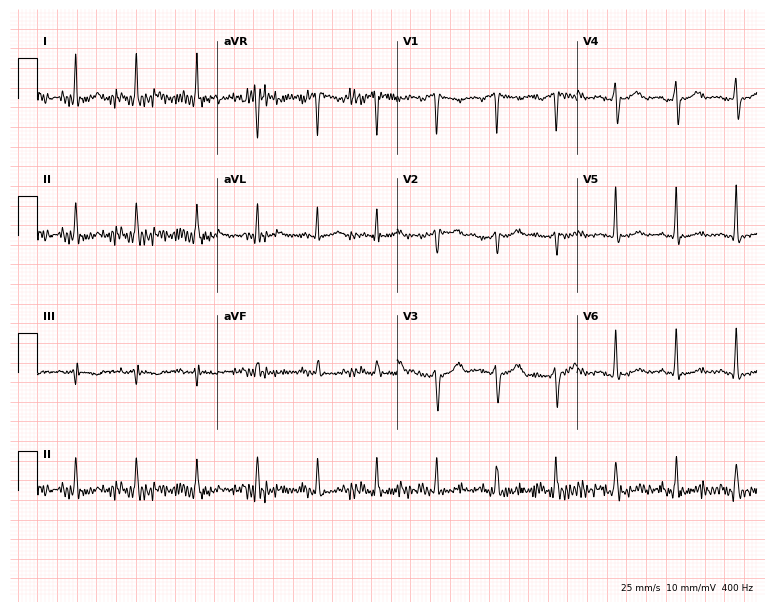
12-lead ECG from a 46-year-old woman (7.3-second recording at 400 Hz). Recorded interpretation: within normal limits.